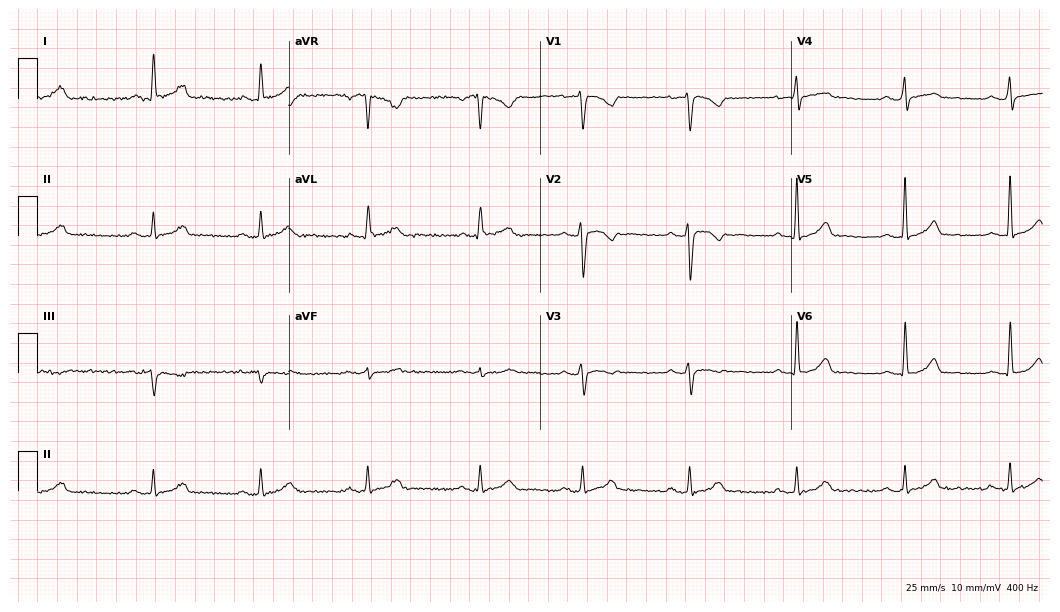
12-lead ECG from a female patient, 35 years old (10.2-second recording at 400 Hz). Recorded interpretation: within normal limits.